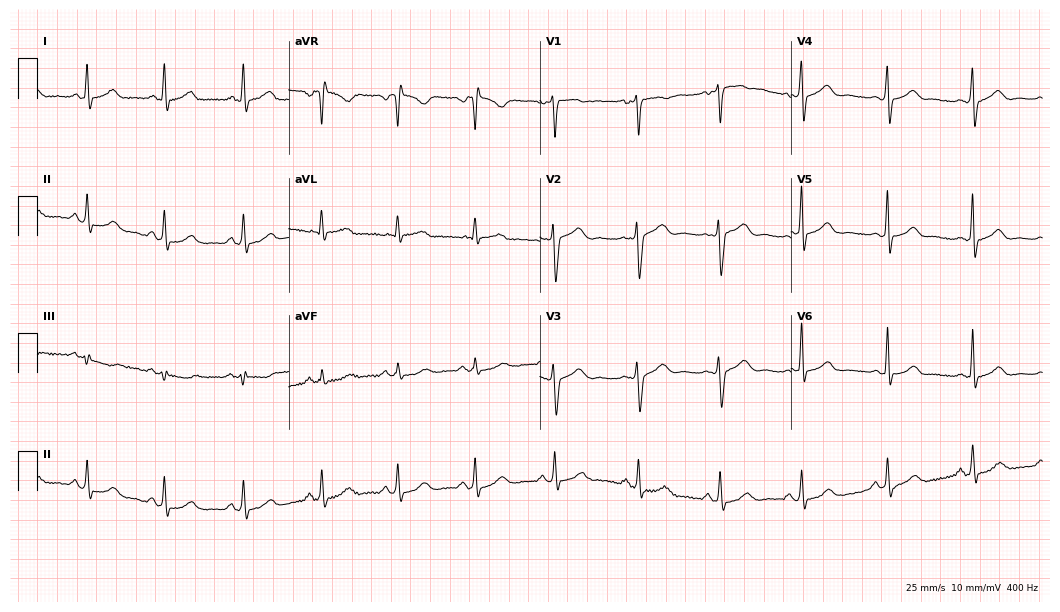
12-lead ECG (10.2-second recording at 400 Hz) from a woman, 48 years old. Labelled as a normal ECG.